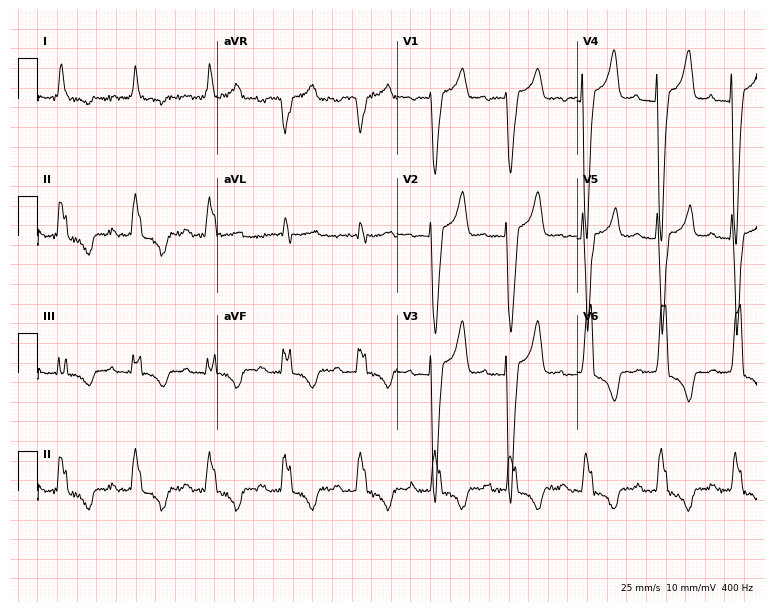
Electrocardiogram (7.3-second recording at 400 Hz), a 74-year-old female patient. Interpretation includes first-degree AV block, left bundle branch block.